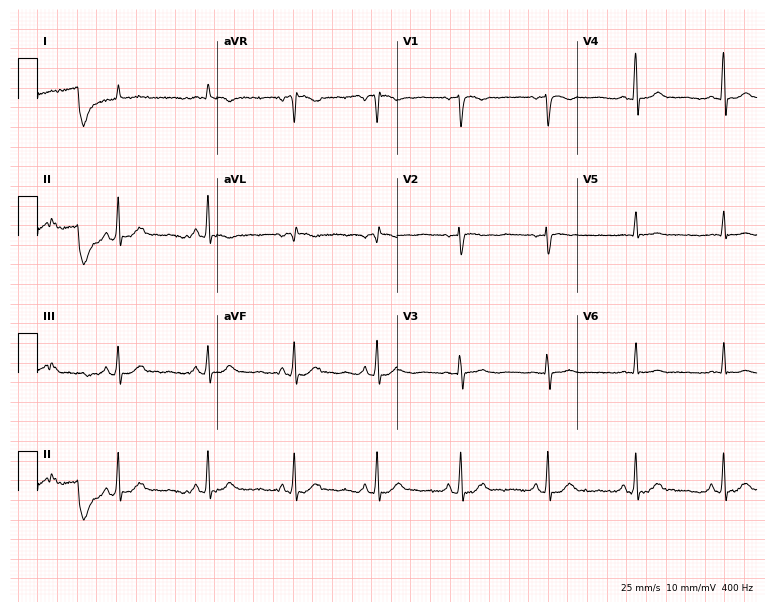
12-lead ECG from a male, 72 years old (7.3-second recording at 400 Hz). No first-degree AV block, right bundle branch block, left bundle branch block, sinus bradycardia, atrial fibrillation or sinus tachycardia recorded for this tracing. Only these six findings were labelled.